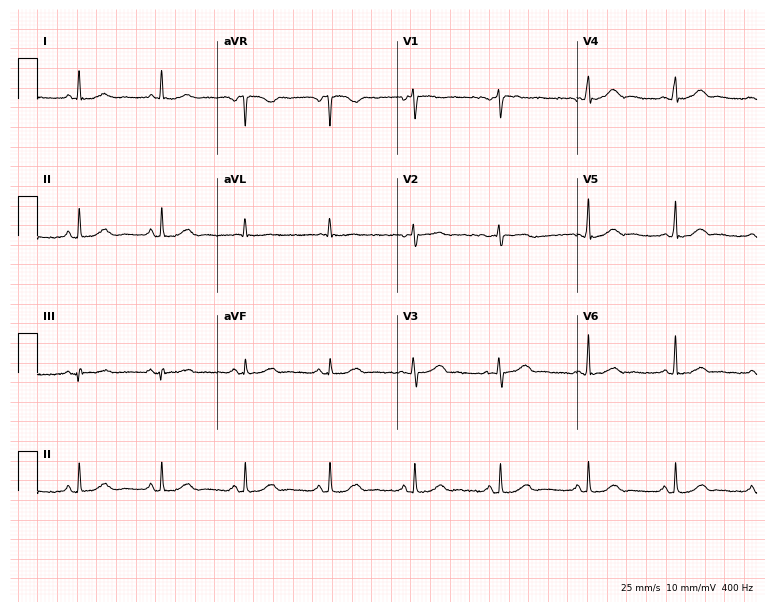
12-lead ECG from a 46-year-old male patient. Recorded interpretation: within normal limits.